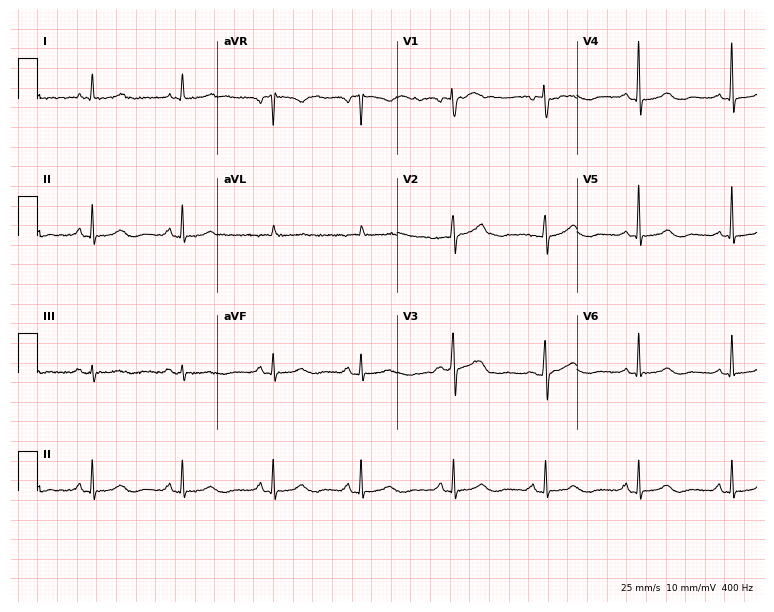
ECG (7.3-second recording at 400 Hz) — a 67-year-old female. Labelled as a normal ECG.